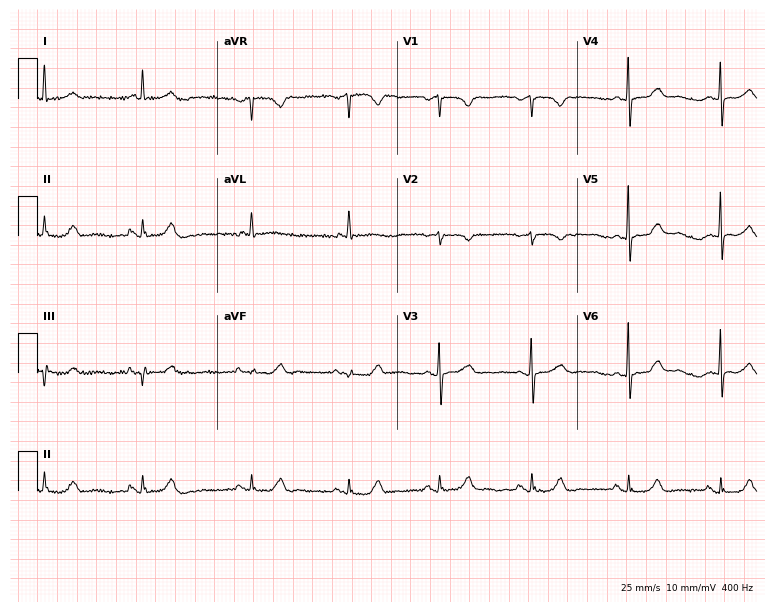
12-lead ECG from an 81-year-old woman (7.3-second recording at 400 Hz). Recorded interpretation: within normal limits.